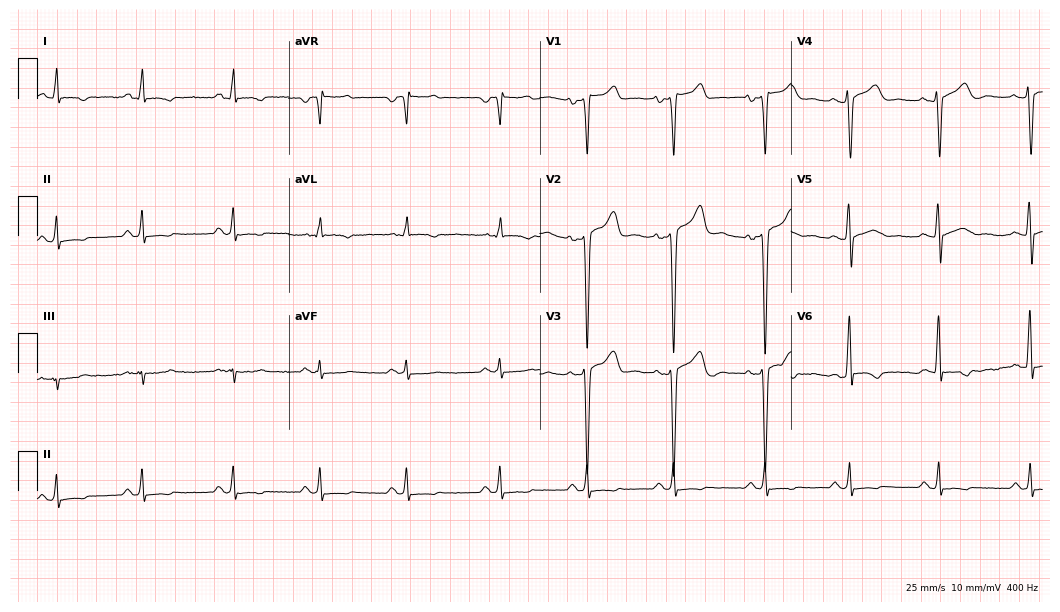
Electrocardiogram (10.2-second recording at 400 Hz), a 36-year-old male. Of the six screened findings (first-degree AV block, right bundle branch block (RBBB), left bundle branch block (LBBB), sinus bradycardia, atrial fibrillation (AF), sinus tachycardia), none is recorded. Other findings, if any, are not listed.